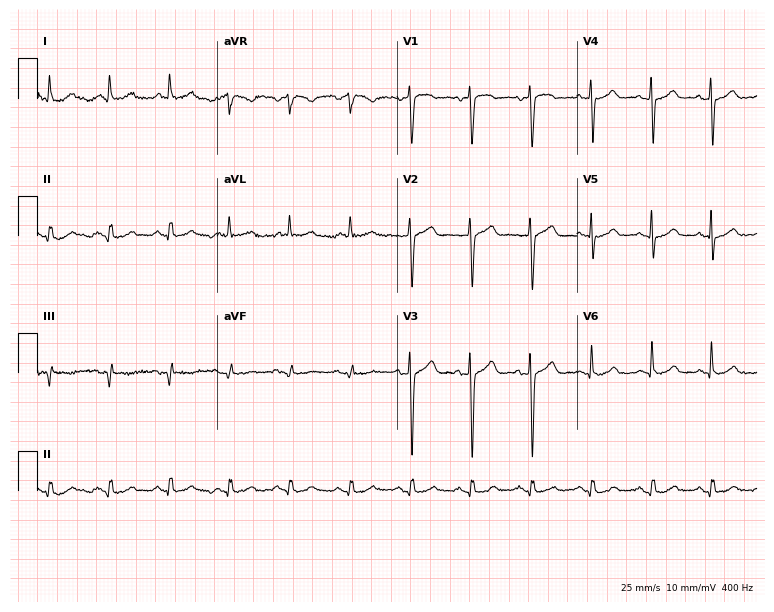
ECG (7.3-second recording at 400 Hz) — a male, 69 years old. Labelled as a normal ECG.